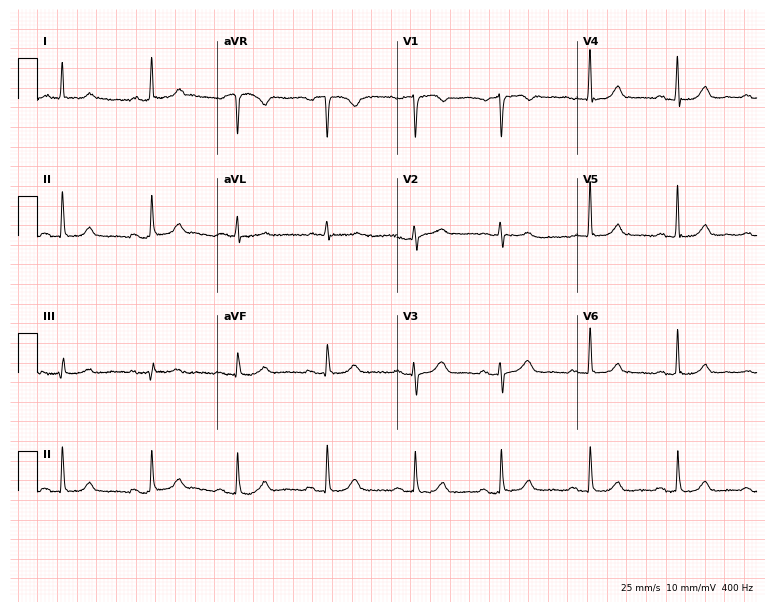
Resting 12-lead electrocardiogram. Patient: a 79-year-old woman. None of these six findings is recorded: first-degree AV block, right bundle branch block, left bundle branch block, sinus bradycardia, atrial fibrillation, sinus tachycardia. Other findings, if any, are not listed.